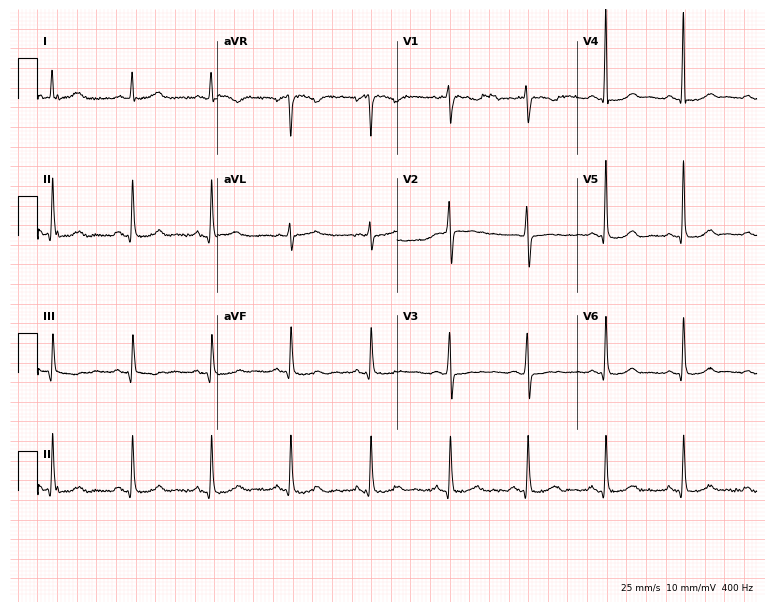
Standard 12-lead ECG recorded from a 52-year-old woman (7.3-second recording at 400 Hz). Read as a normal ECG.